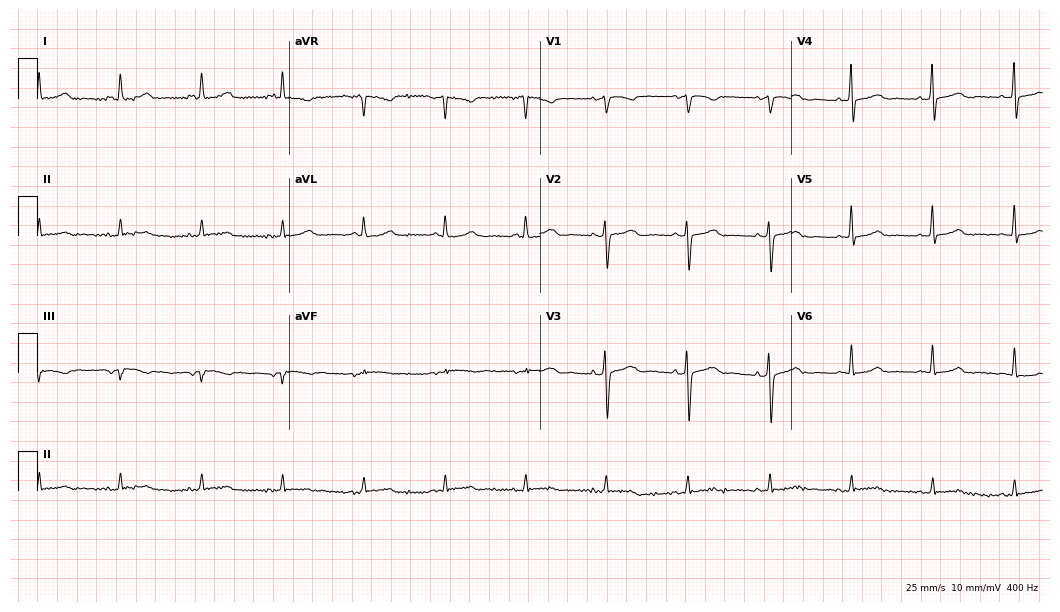
ECG (10.2-second recording at 400 Hz) — a 69-year-old woman. Labelled as a normal ECG.